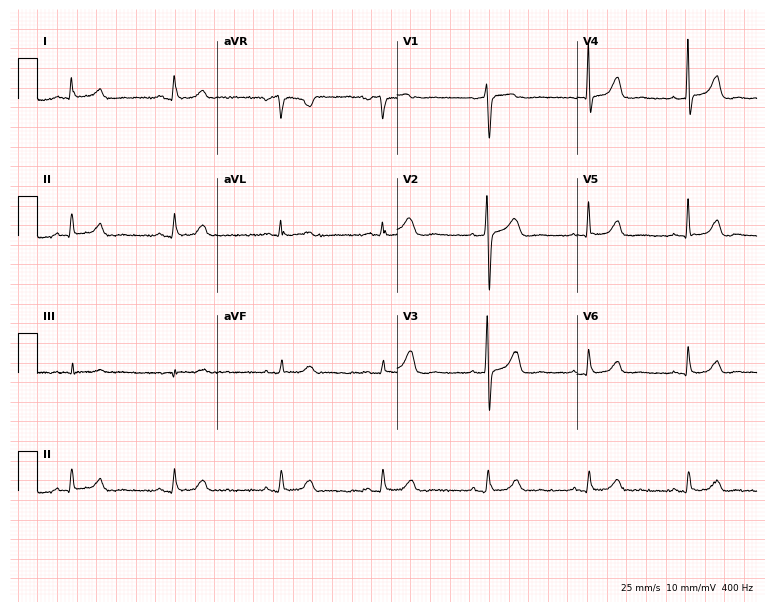
12-lead ECG (7.3-second recording at 400 Hz) from a female, 66 years old. Labelled as a normal ECG.